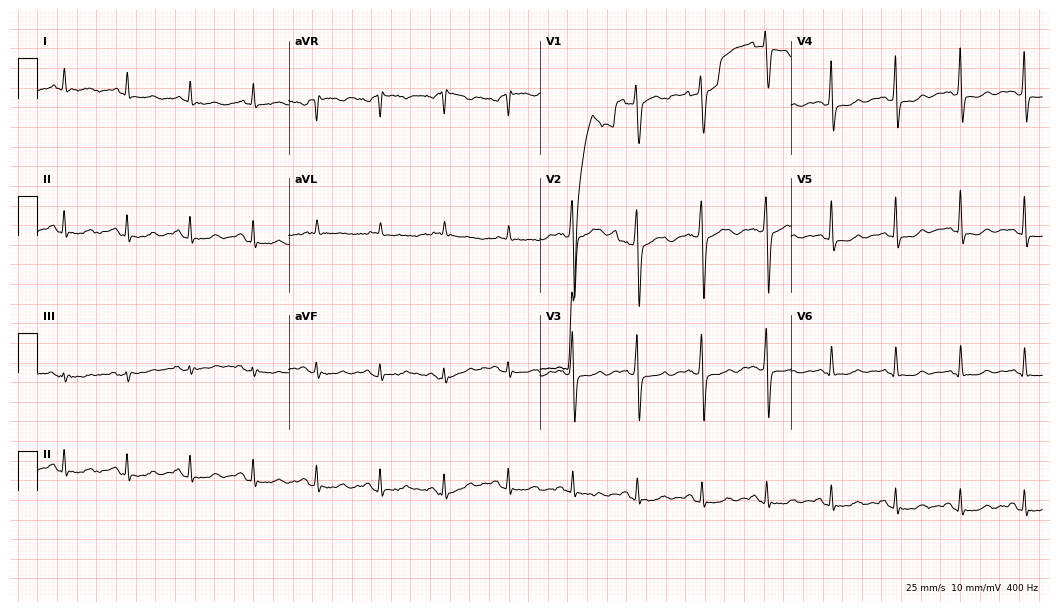
Standard 12-lead ECG recorded from a 58-year-old man (10.2-second recording at 400 Hz). None of these six findings is recorded: first-degree AV block, right bundle branch block, left bundle branch block, sinus bradycardia, atrial fibrillation, sinus tachycardia. Other findings, if any, are not listed.